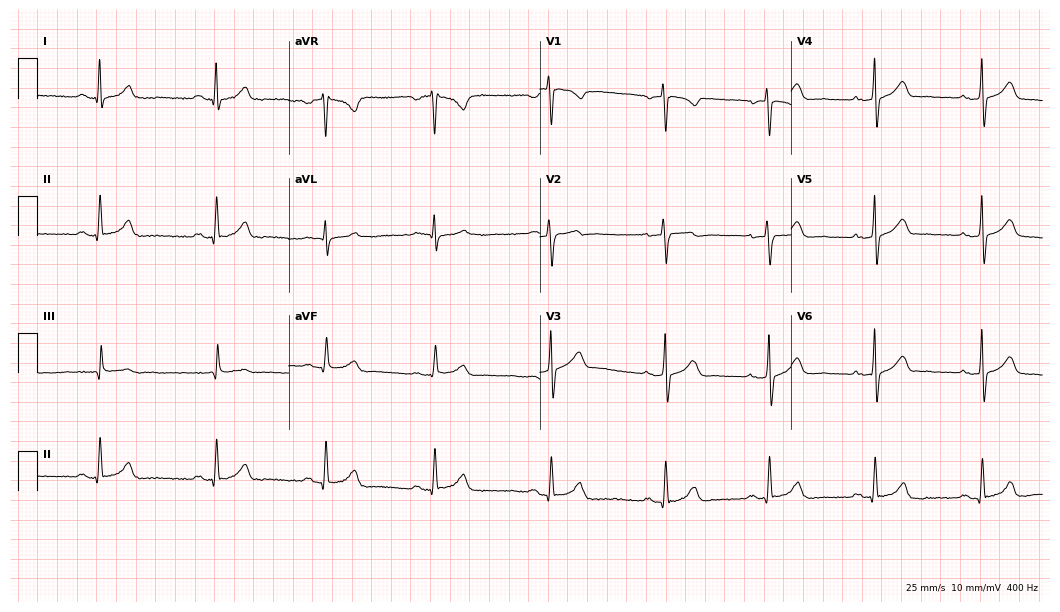
12-lead ECG (10.2-second recording at 400 Hz) from a 35-year-old male. Labelled as a normal ECG.